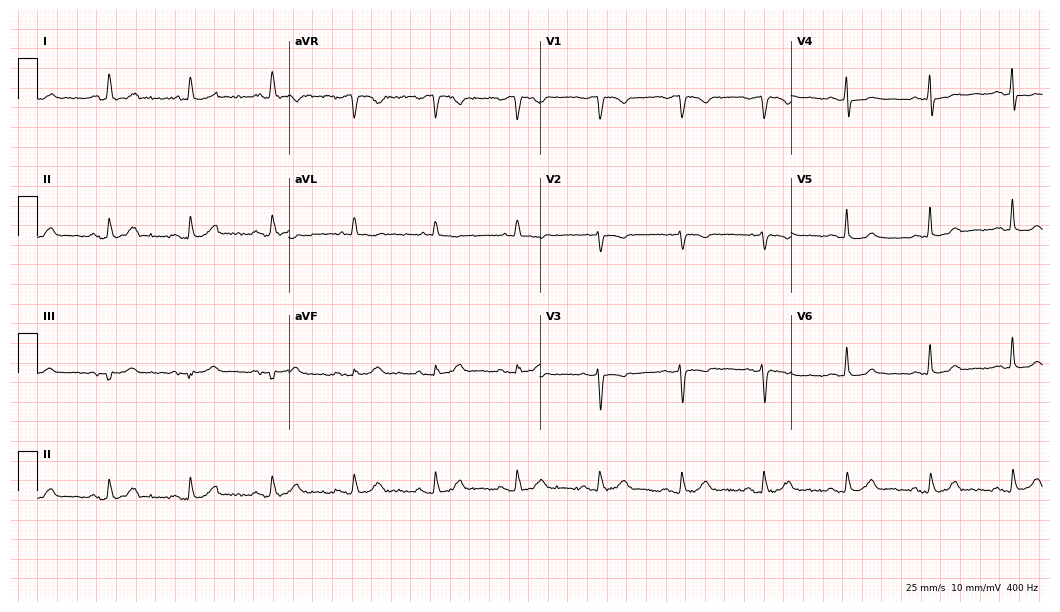
Electrocardiogram, a 44-year-old woman. Overall reading on record: normal ECG.